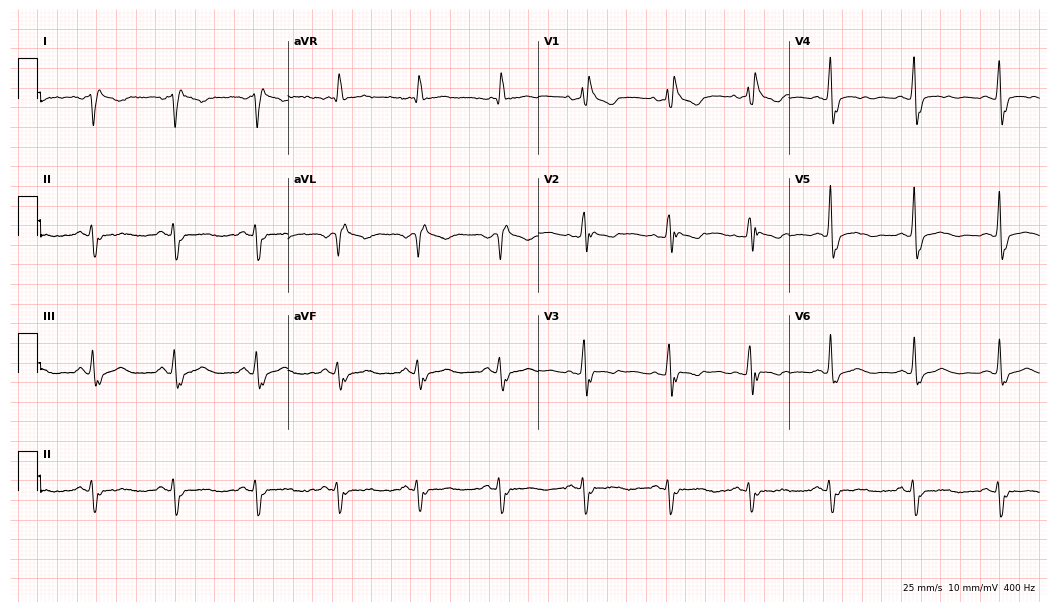
12-lead ECG from a female patient, 59 years old. Screened for six findings — first-degree AV block, right bundle branch block, left bundle branch block, sinus bradycardia, atrial fibrillation, sinus tachycardia — none is recorded.